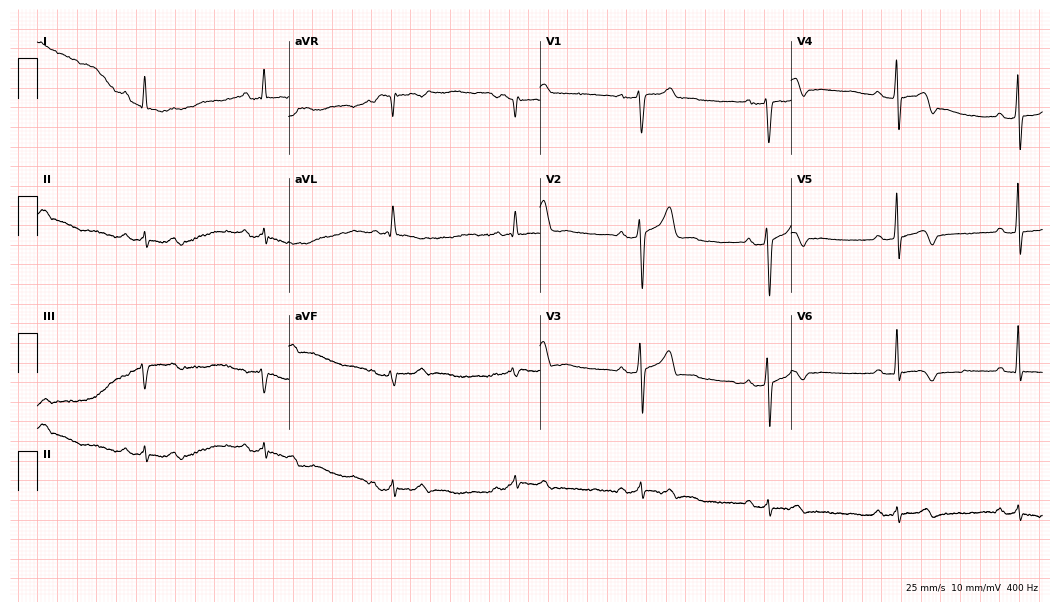
Electrocardiogram, a male patient, 60 years old. Of the six screened findings (first-degree AV block, right bundle branch block, left bundle branch block, sinus bradycardia, atrial fibrillation, sinus tachycardia), none is recorded.